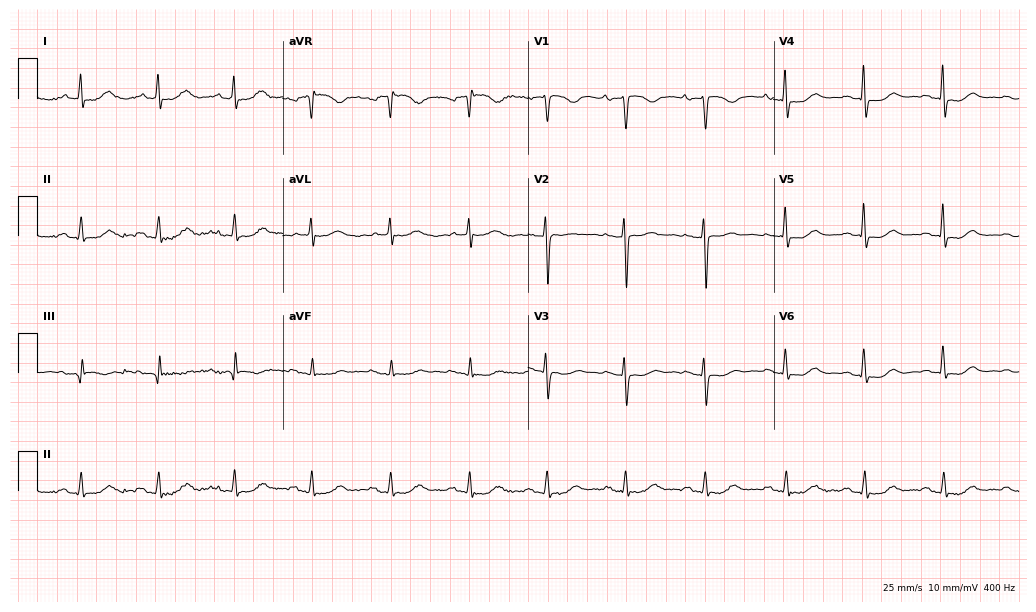
Electrocardiogram (10-second recording at 400 Hz), a 72-year-old woman. Of the six screened findings (first-degree AV block, right bundle branch block (RBBB), left bundle branch block (LBBB), sinus bradycardia, atrial fibrillation (AF), sinus tachycardia), none is recorded.